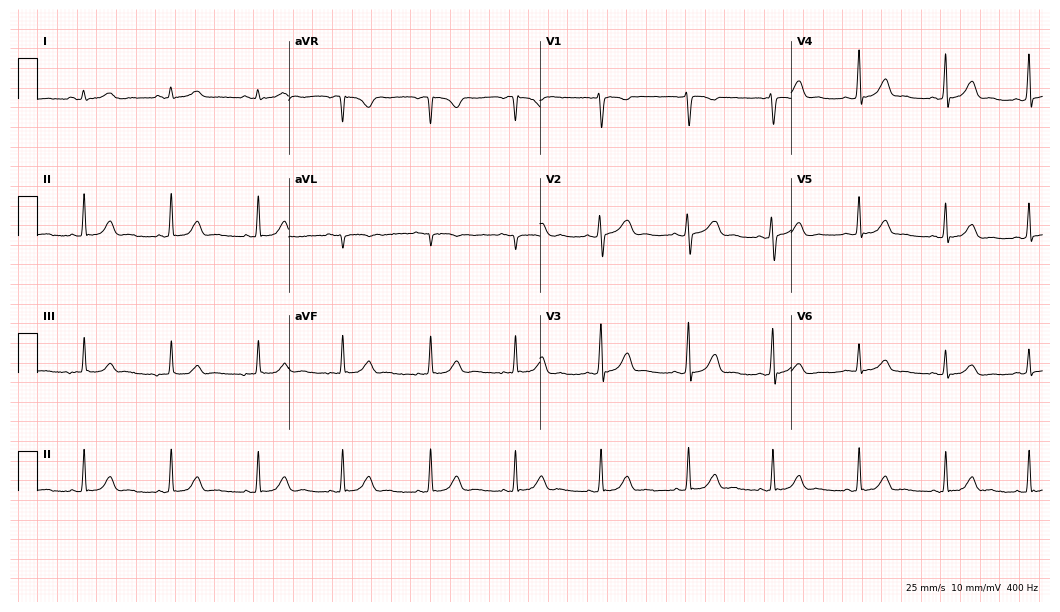
Standard 12-lead ECG recorded from a 26-year-old female patient (10.2-second recording at 400 Hz). None of these six findings is recorded: first-degree AV block, right bundle branch block, left bundle branch block, sinus bradycardia, atrial fibrillation, sinus tachycardia. Findings outside these six are not listed.